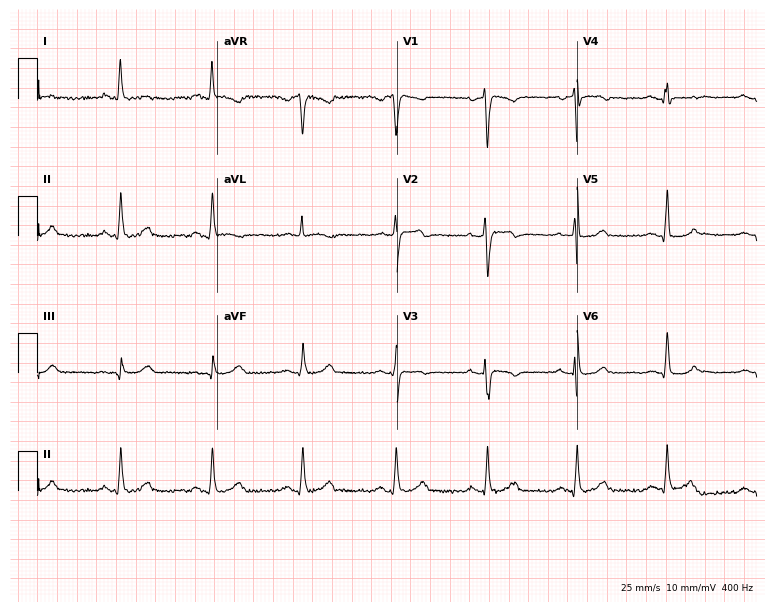
12-lead ECG from a 54-year-old male patient. Screened for six findings — first-degree AV block, right bundle branch block, left bundle branch block, sinus bradycardia, atrial fibrillation, sinus tachycardia — none is recorded. Findings outside these six are not listed.